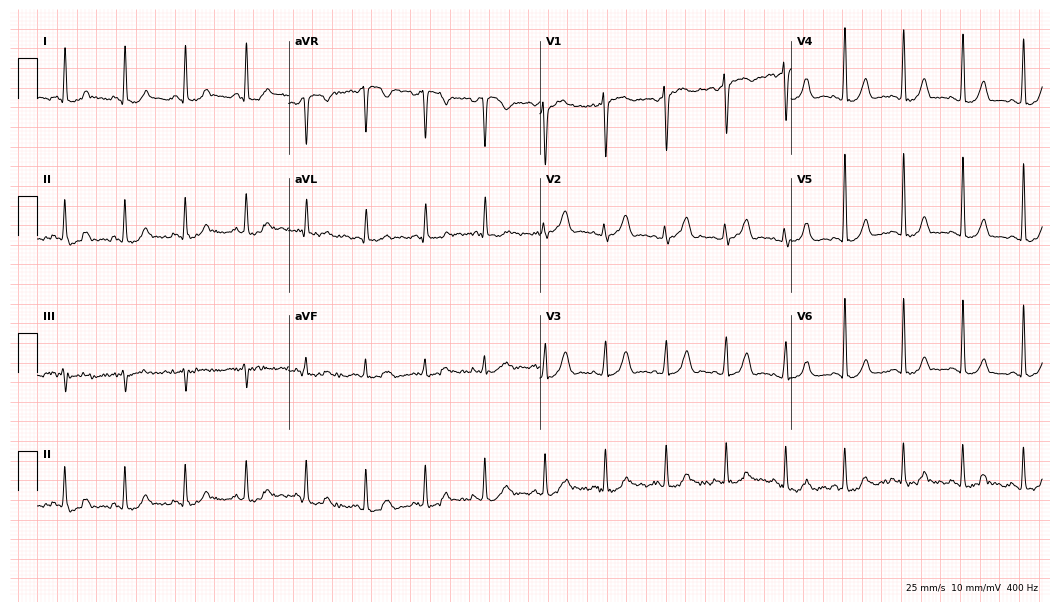
12-lead ECG (10.2-second recording at 400 Hz) from a 47-year-old woman. Labelled as a normal ECG.